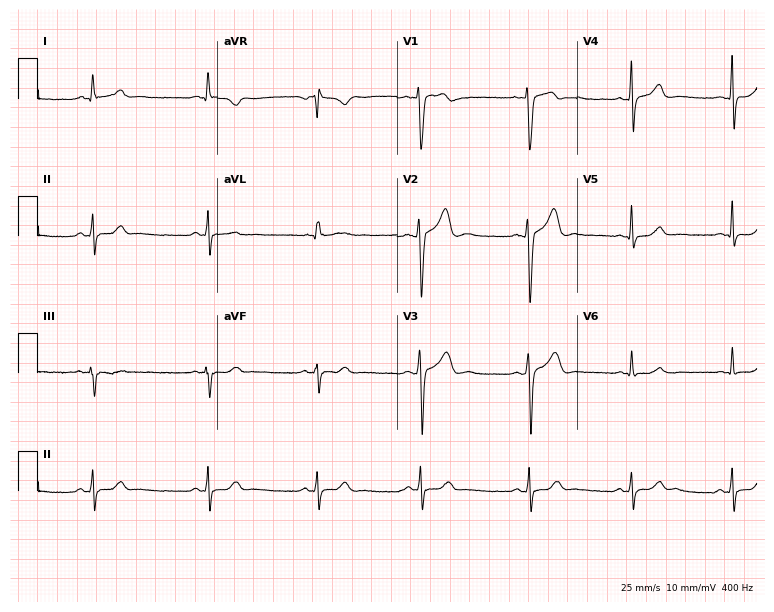
12-lead ECG (7.3-second recording at 400 Hz) from a 19-year-old male patient. Labelled as a normal ECG.